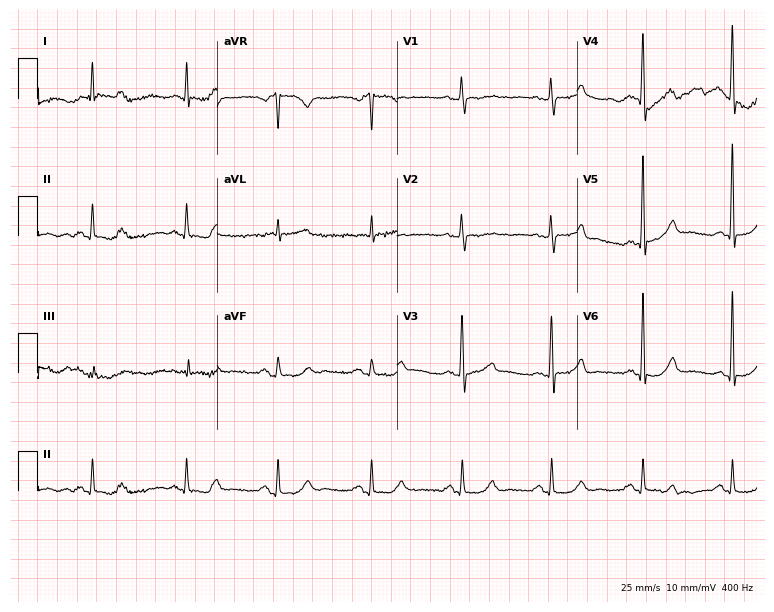
12-lead ECG from a 60-year-old female (7.3-second recording at 400 Hz). Recorded interpretation: within normal limits.